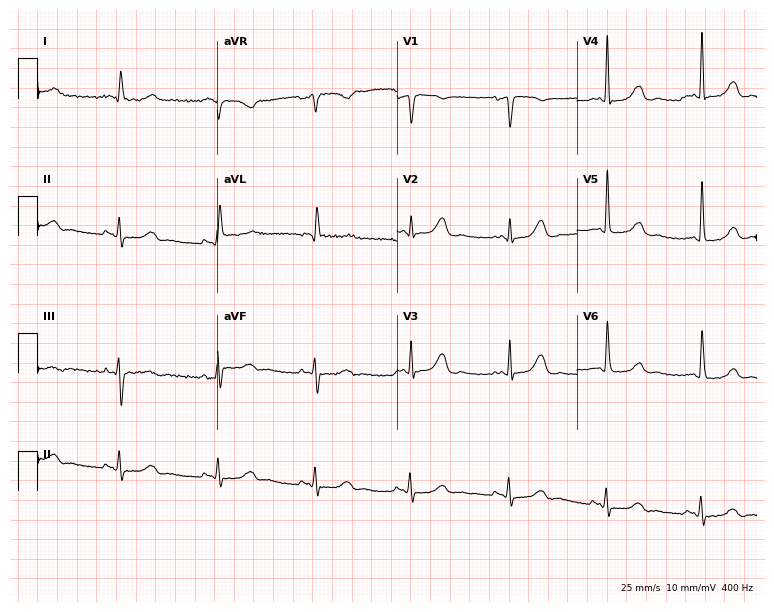
12-lead ECG from a woman, 75 years old (7.3-second recording at 400 Hz). No first-degree AV block, right bundle branch block (RBBB), left bundle branch block (LBBB), sinus bradycardia, atrial fibrillation (AF) or sinus tachycardia recorded for this tracing.